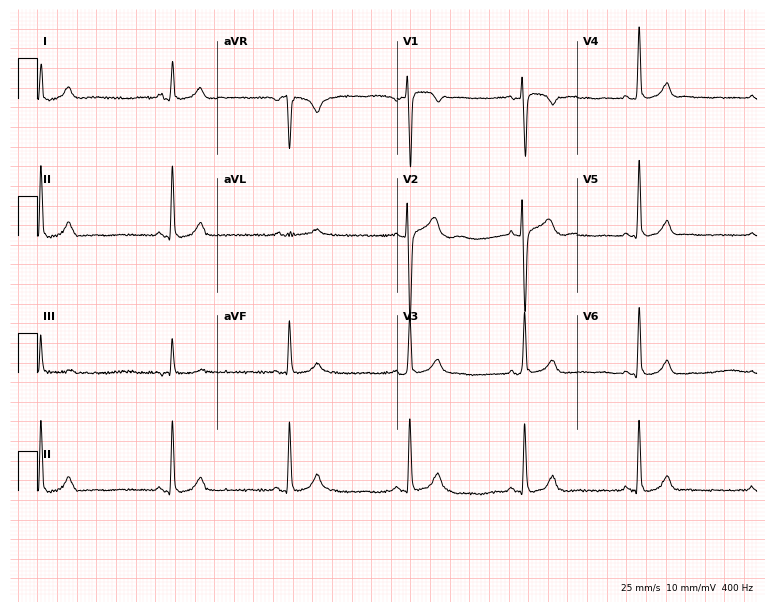
12-lead ECG (7.3-second recording at 400 Hz) from a female, 21 years old. Findings include sinus bradycardia (a sinus rate of 50 beats per minute or less).